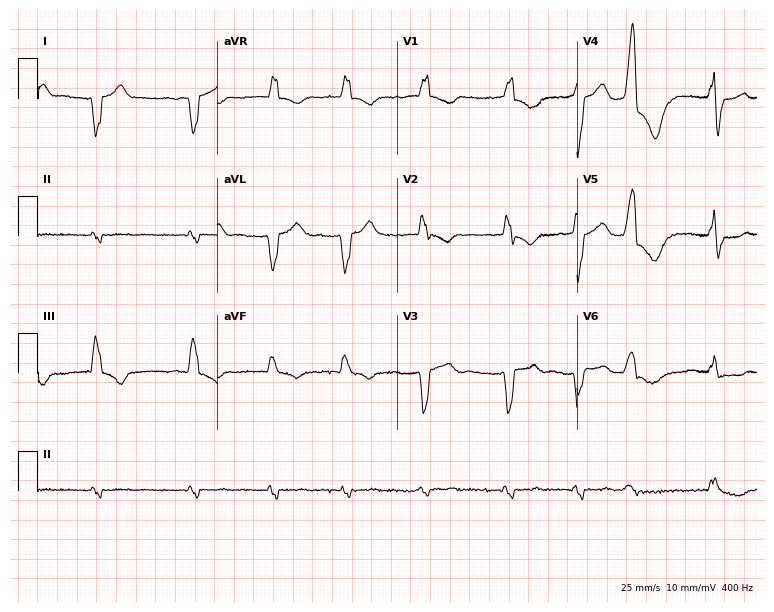
12-lead ECG from an 84-year-old man. Findings include right bundle branch block (RBBB), atrial fibrillation (AF).